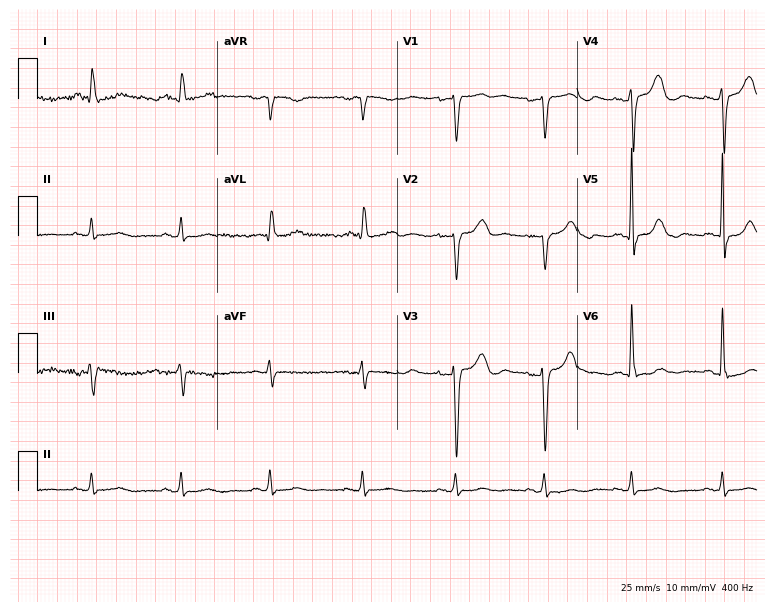
Electrocardiogram, a 64-year-old female patient. Of the six screened findings (first-degree AV block, right bundle branch block, left bundle branch block, sinus bradycardia, atrial fibrillation, sinus tachycardia), none is recorded. Findings outside these six are not listed.